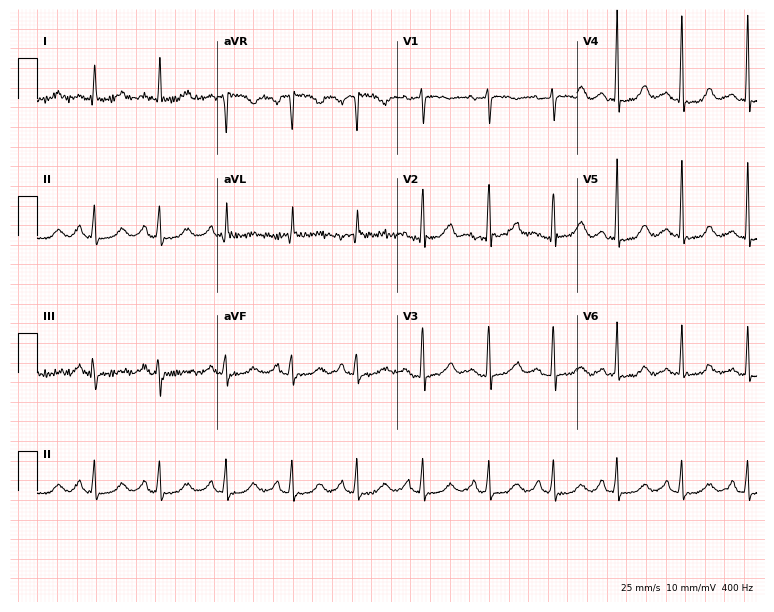
ECG — a female, 62 years old. Screened for six findings — first-degree AV block, right bundle branch block (RBBB), left bundle branch block (LBBB), sinus bradycardia, atrial fibrillation (AF), sinus tachycardia — none is recorded. Findings outside these six are not listed.